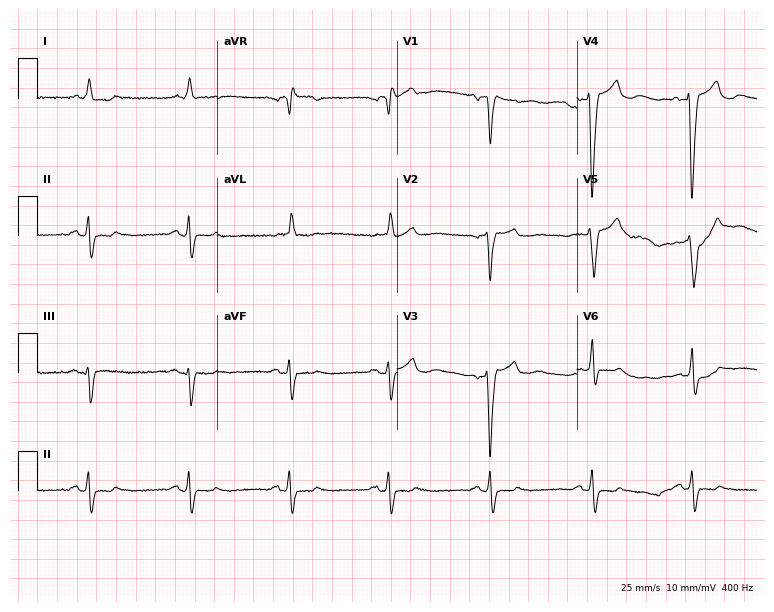
12-lead ECG (7.3-second recording at 400 Hz) from a 68-year-old male. Screened for six findings — first-degree AV block, right bundle branch block (RBBB), left bundle branch block (LBBB), sinus bradycardia, atrial fibrillation (AF), sinus tachycardia — none is recorded.